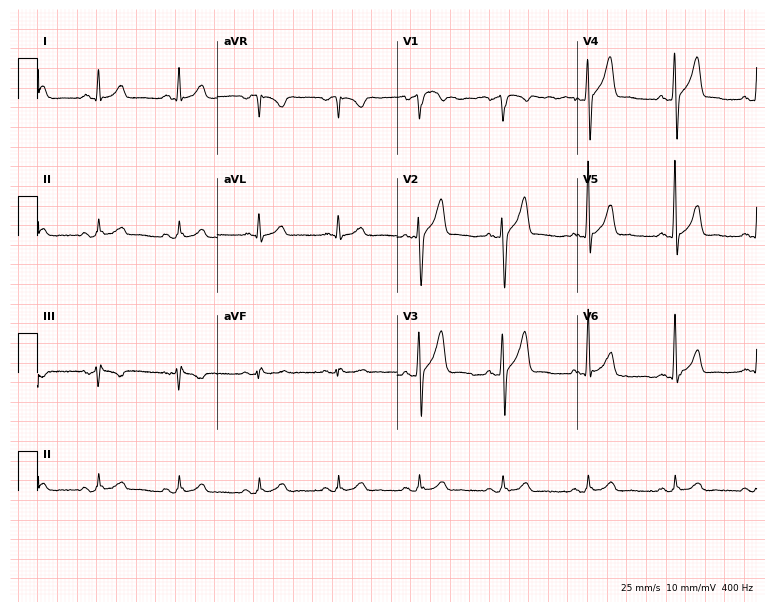
Standard 12-lead ECG recorded from a man, 42 years old. None of these six findings is recorded: first-degree AV block, right bundle branch block, left bundle branch block, sinus bradycardia, atrial fibrillation, sinus tachycardia.